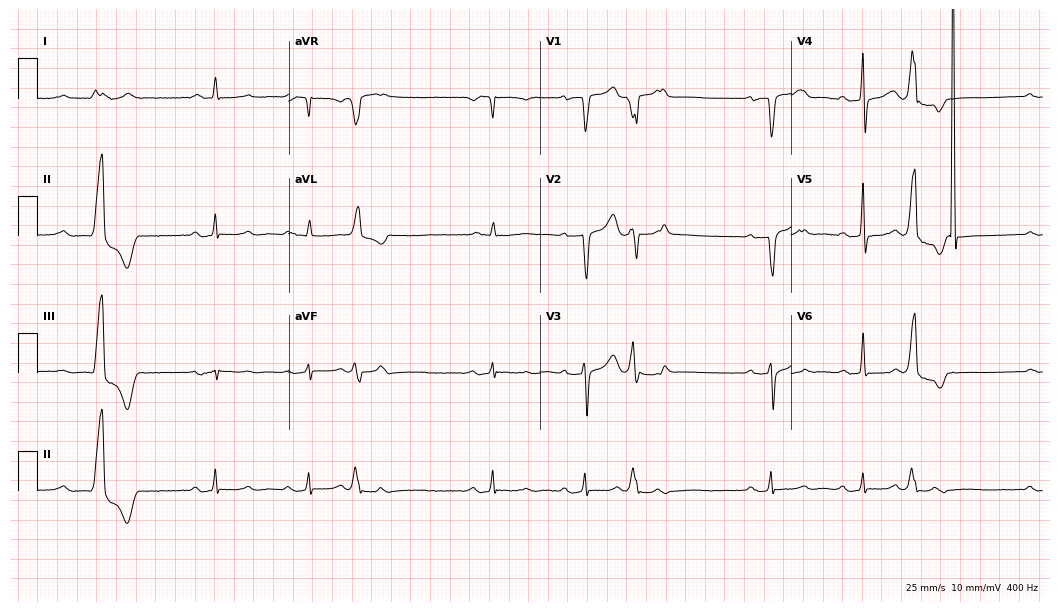
ECG (10.2-second recording at 400 Hz) — an 83-year-old male patient. Screened for six findings — first-degree AV block, right bundle branch block, left bundle branch block, sinus bradycardia, atrial fibrillation, sinus tachycardia — none is recorded.